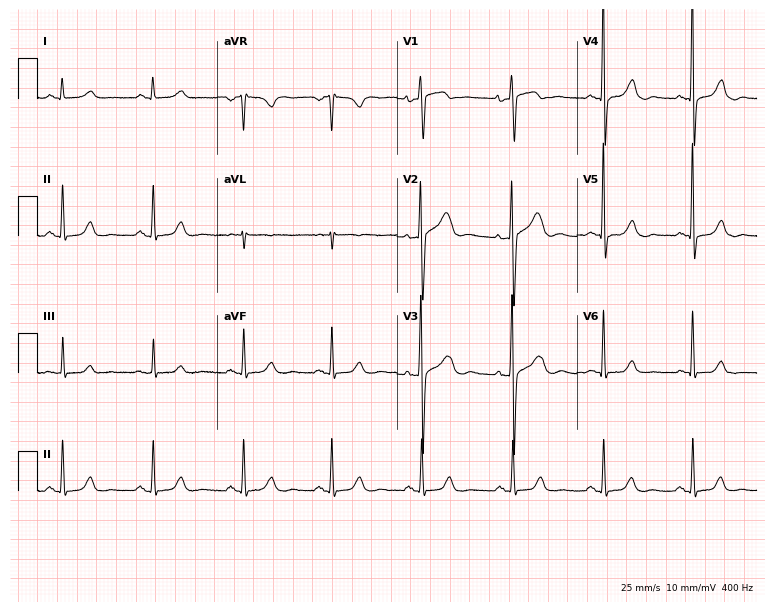
Resting 12-lead electrocardiogram. Patient: a 50-year-old female. Read as a normal ECG.